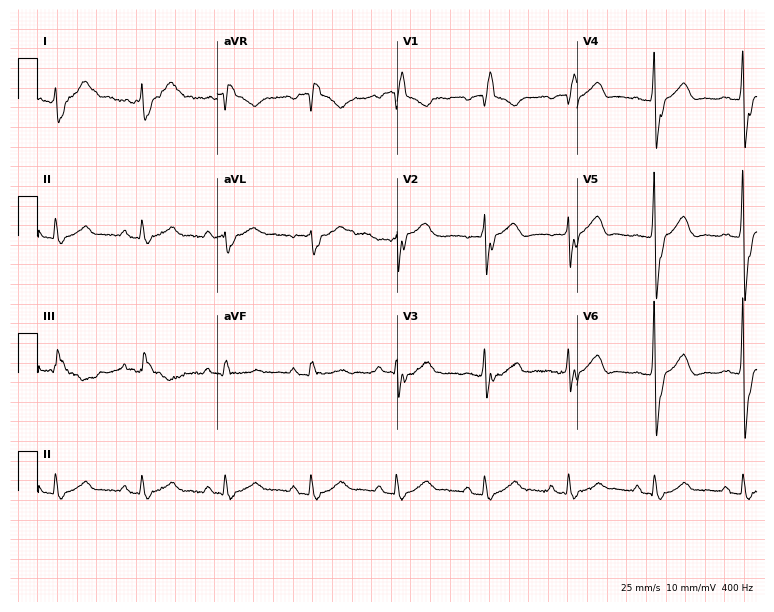
12-lead ECG (7.3-second recording at 400 Hz) from a male, 81 years old. Findings include right bundle branch block.